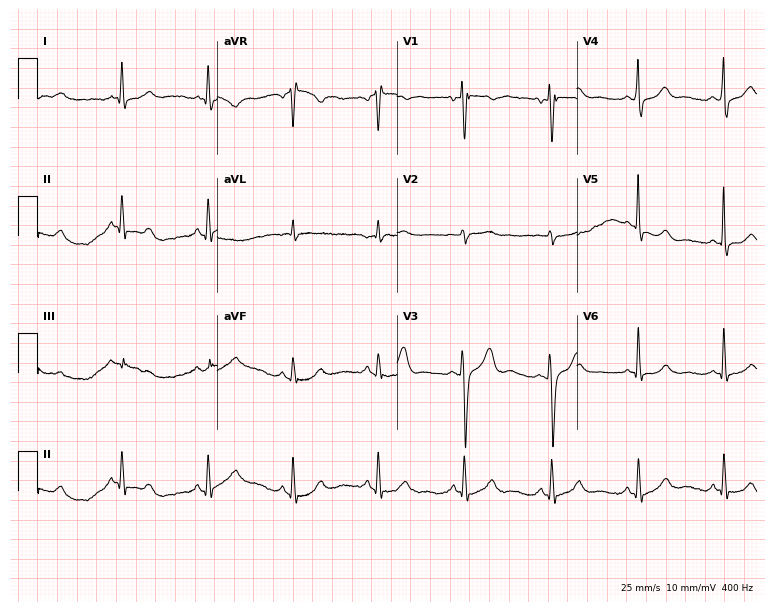
12-lead ECG from a man, 48 years old. Labelled as a normal ECG.